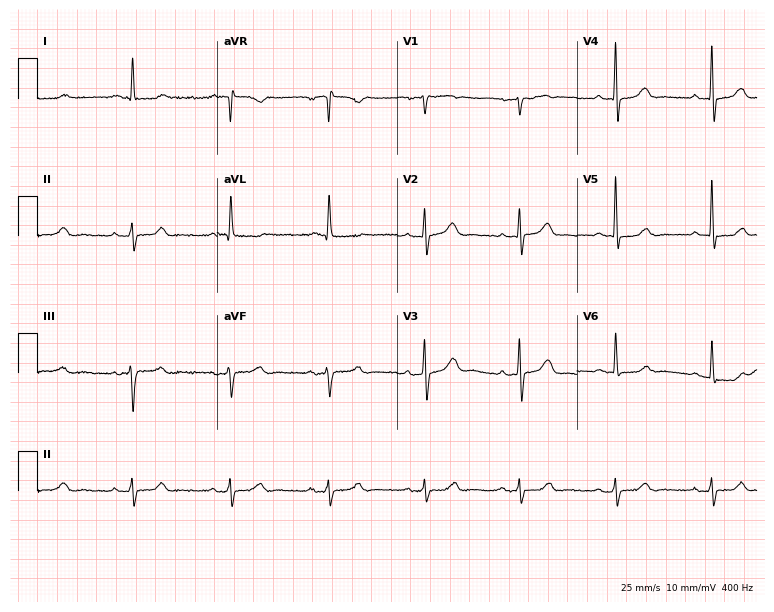
Resting 12-lead electrocardiogram. Patient: a man, 82 years old. Read as a normal ECG.